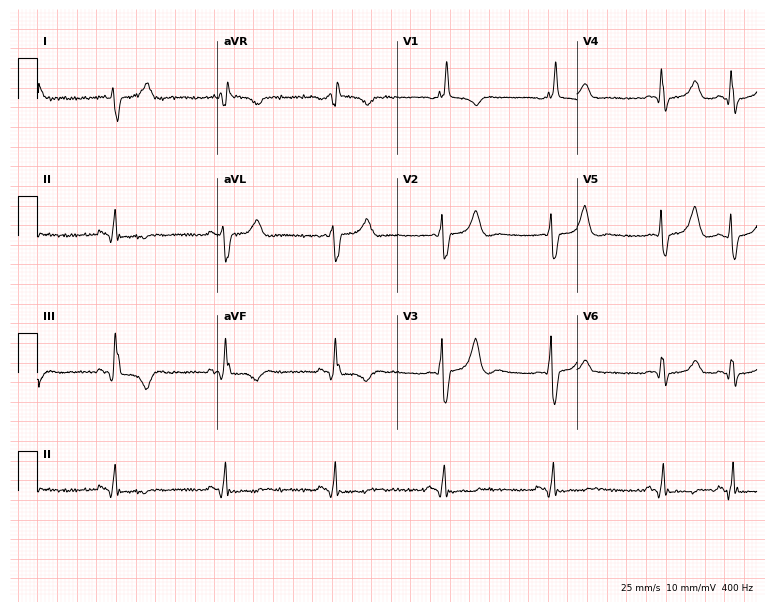
12-lead ECG from an 86-year-old female patient. Findings include right bundle branch block.